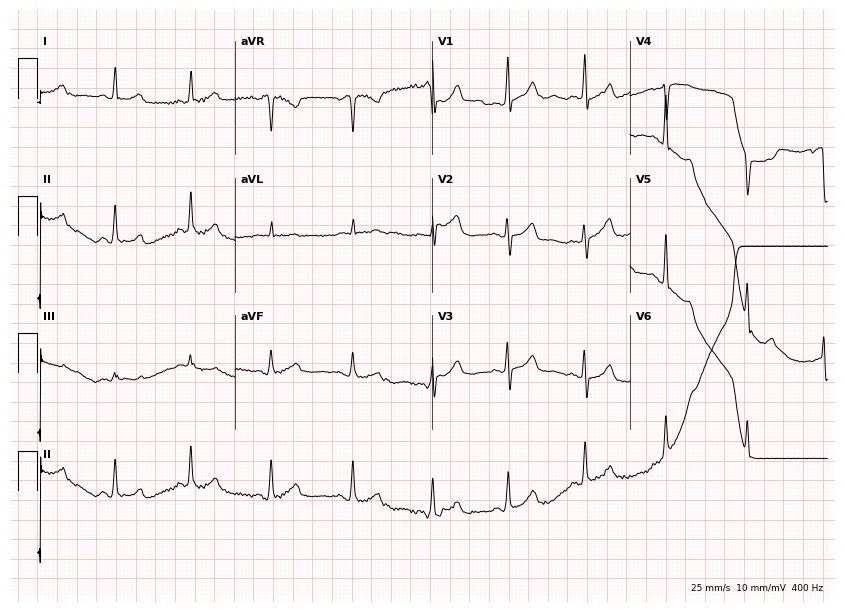
12-lead ECG from a 58-year-old female. No first-degree AV block, right bundle branch block, left bundle branch block, sinus bradycardia, atrial fibrillation or sinus tachycardia recorded for this tracing. Only these six findings were labelled.